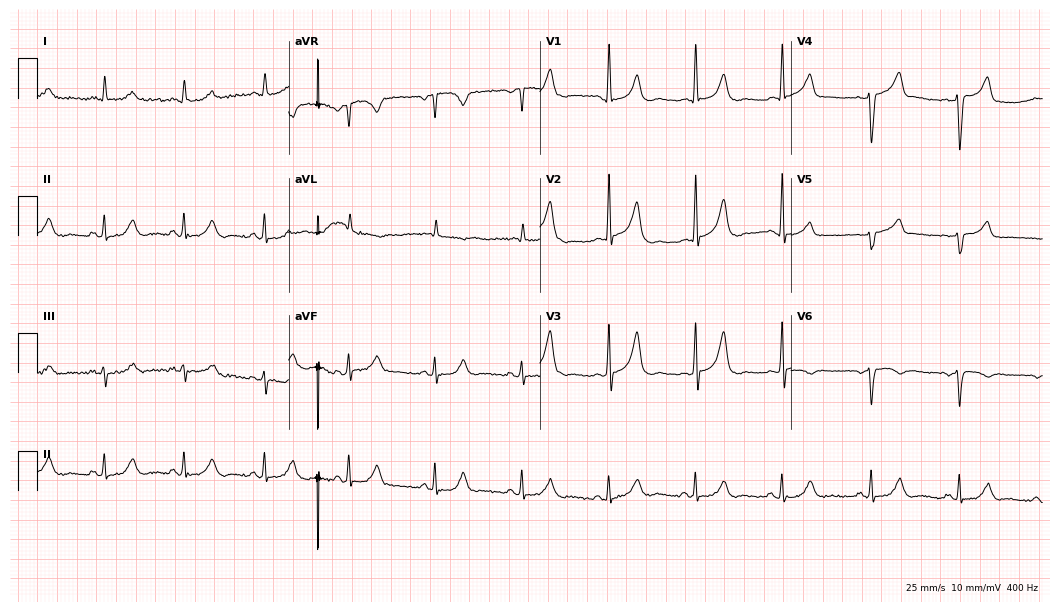
Electrocardiogram (10.2-second recording at 400 Hz), a 61-year-old female patient. Of the six screened findings (first-degree AV block, right bundle branch block, left bundle branch block, sinus bradycardia, atrial fibrillation, sinus tachycardia), none is recorded. Other findings, if any, are not listed.